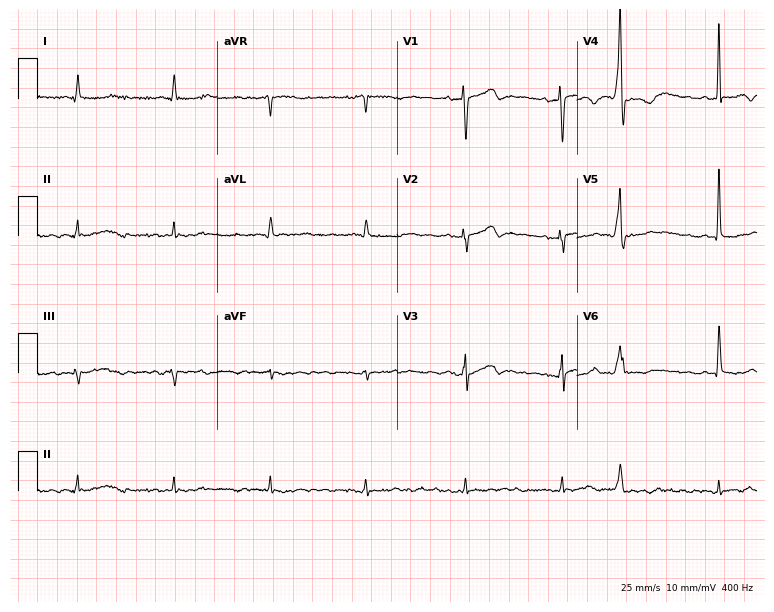
ECG — an 83-year-old male patient. Screened for six findings — first-degree AV block, right bundle branch block, left bundle branch block, sinus bradycardia, atrial fibrillation, sinus tachycardia — none is recorded.